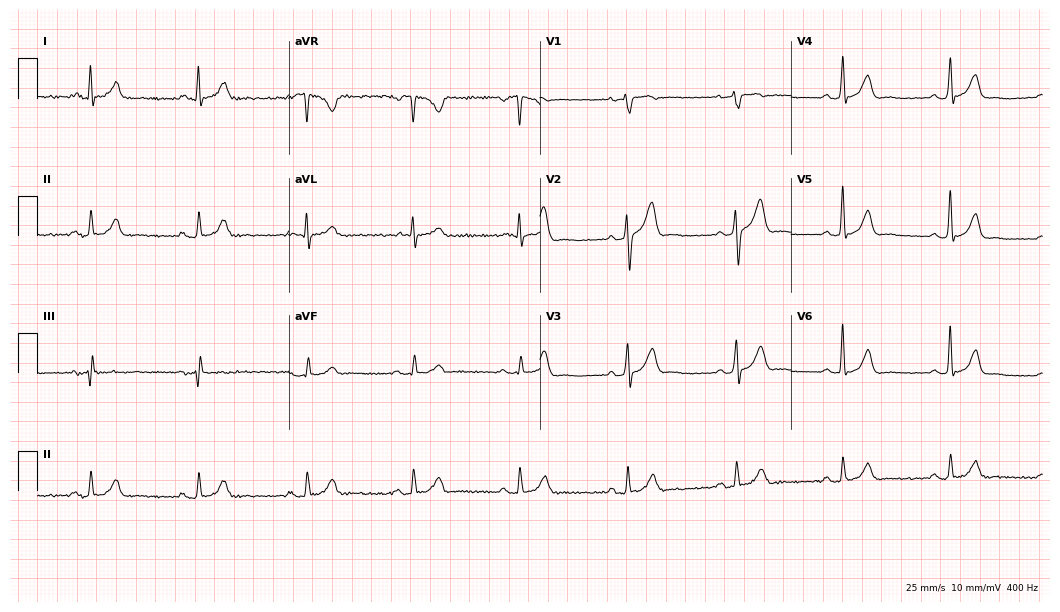
12-lead ECG from a male patient, 57 years old. Labelled as a normal ECG.